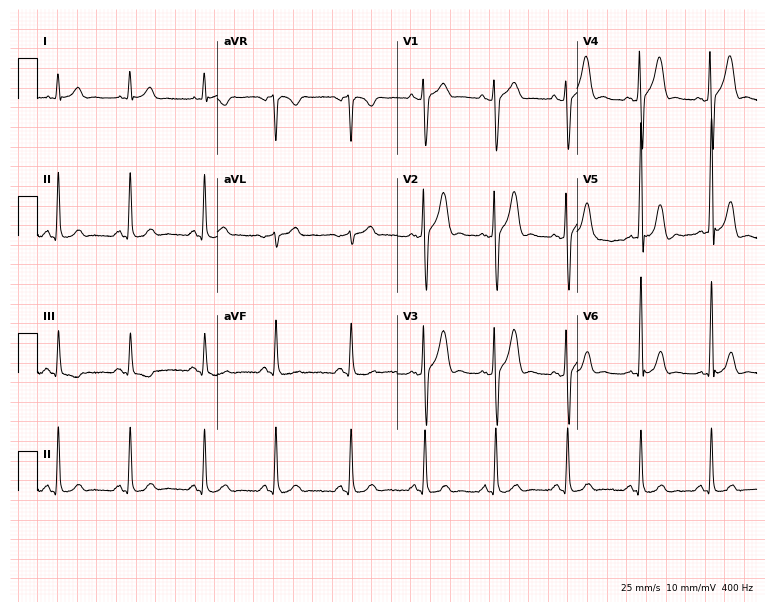
Electrocardiogram, a male patient, 41 years old. Of the six screened findings (first-degree AV block, right bundle branch block, left bundle branch block, sinus bradycardia, atrial fibrillation, sinus tachycardia), none is recorded.